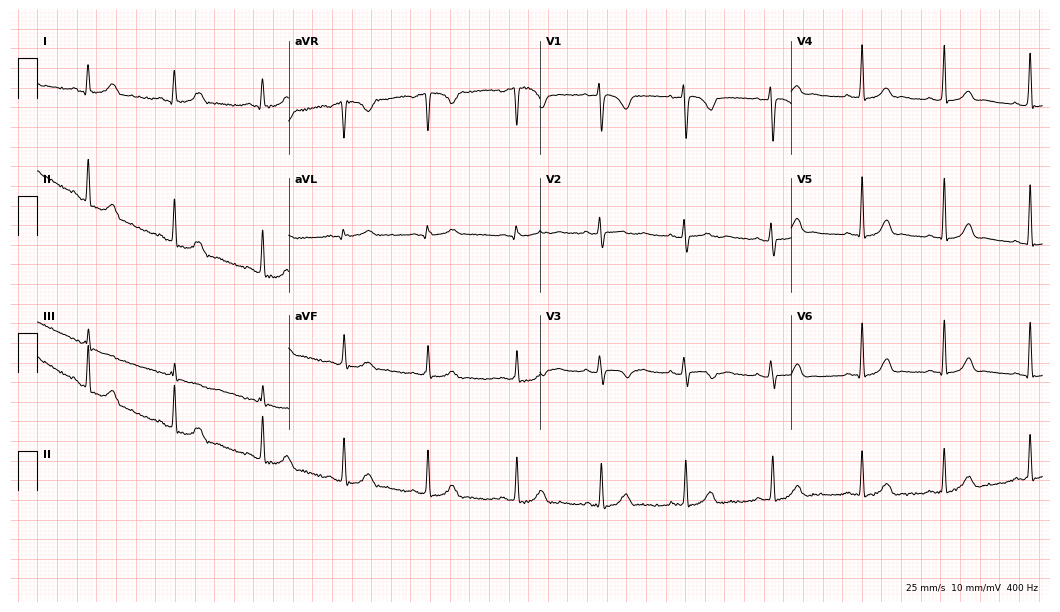
ECG — a woman, 19 years old. Labelled as a normal ECG.